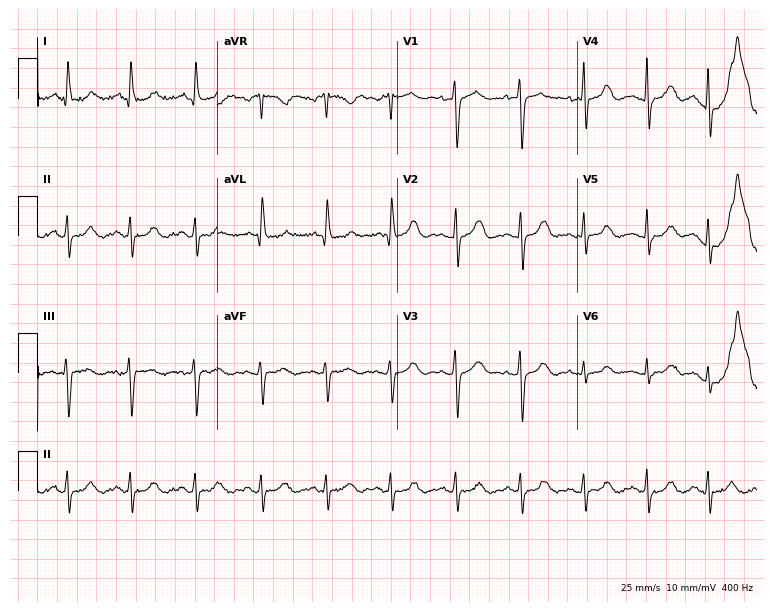
12-lead ECG from a female, 67 years old. Screened for six findings — first-degree AV block, right bundle branch block, left bundle branch block, sinus bradycardia, atrial fibrillation, sinus tachycardia — none is recorded. Findings outside these six are not listed.